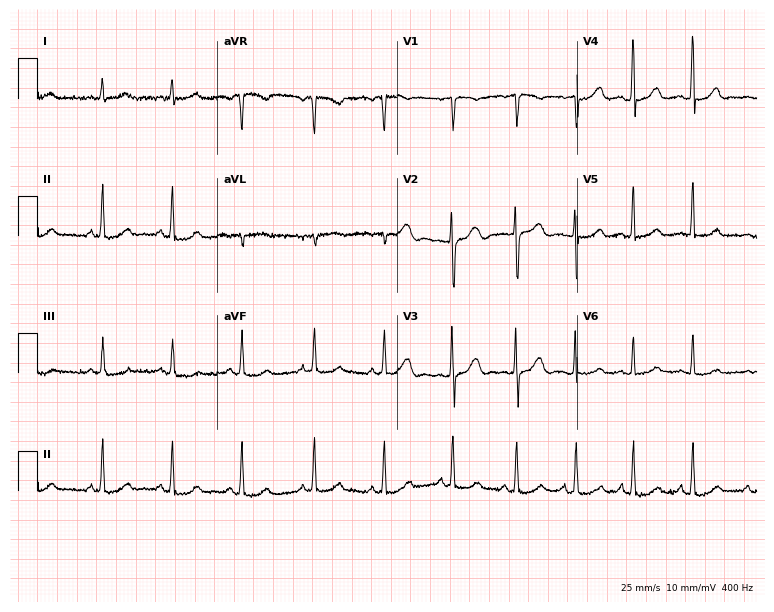
12-lead ECG (7.3-second recording at 400 Hz) from a female patient, 23 years old. Screened for six findings — first-degree AV block, right bundle branch block, left bundle branch block, sinus bradycardia, atrial fibrillation, sinus tachycardia — none is recorded. Findings outside these six are not listed.